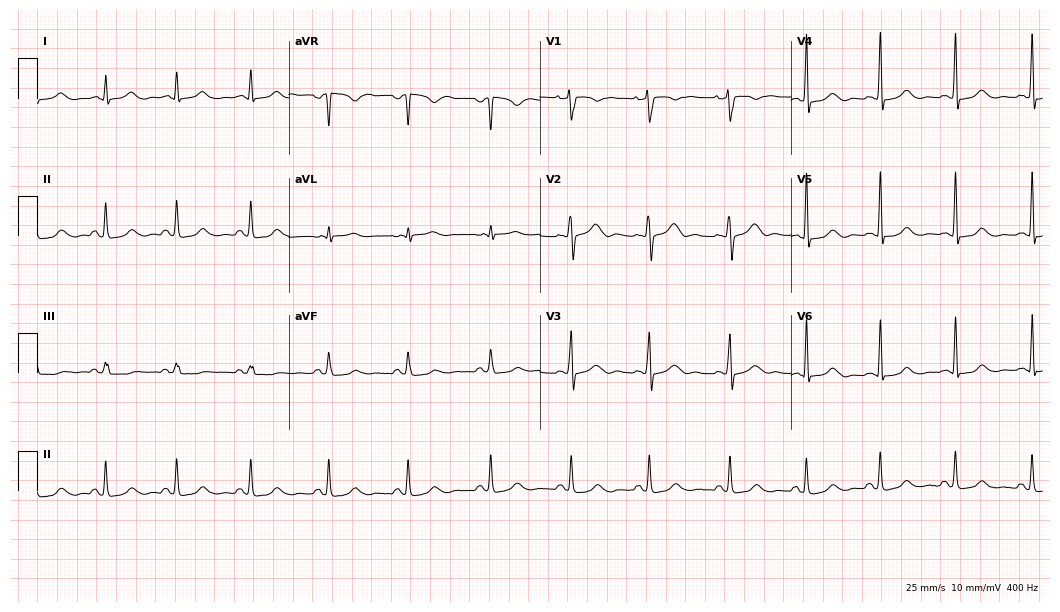
12-lead ECG from a female, 25 years old (10.2-second recording at 400 Hz). No first-degree AV block, right bundle branch block, left bundle branch block, sinus bradycardia, atrial fibrillation or sinus tachycardia recorded for this tracing.